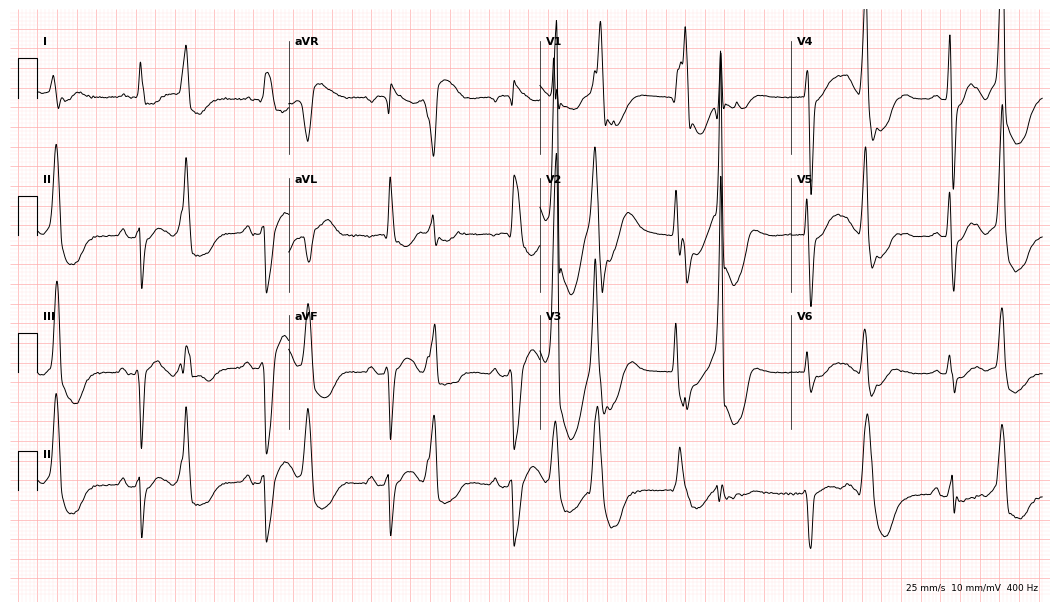
Standard 12-lead ECG recorded from a 69-year-old woman (10.2-second recording at 400 Hz). None of these six findings is recorded: first-degree AV block, right bundle branch block (RBBB), left bundle branch block (LBBB), sinus bradycardia, atrial fibrillation (AF), sinus tachycardia.